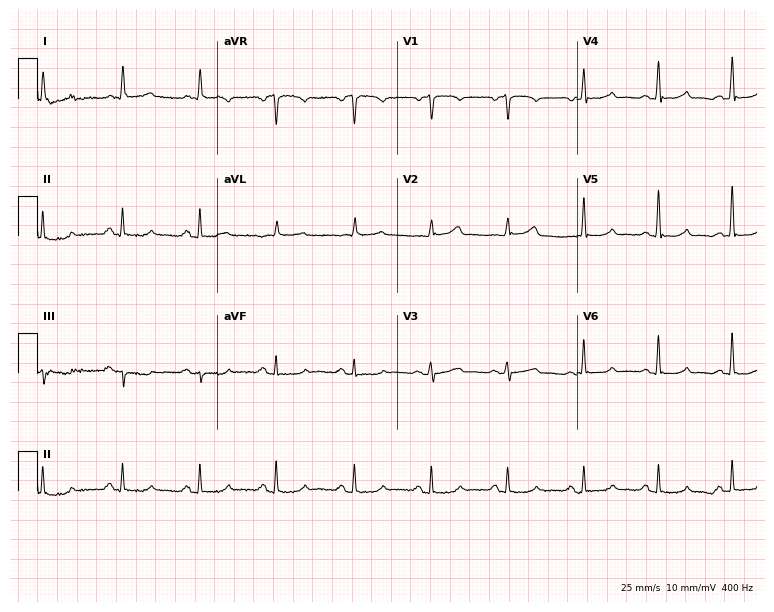
Resting 12-lead electrocardiogram. Patient: a female, 45 years old. None of these six findings is recorded: first-degree AV block, right bundle branch block, left bundle branch block, sinus bradycardia, atrial fibrillation, sinus tachycardia.